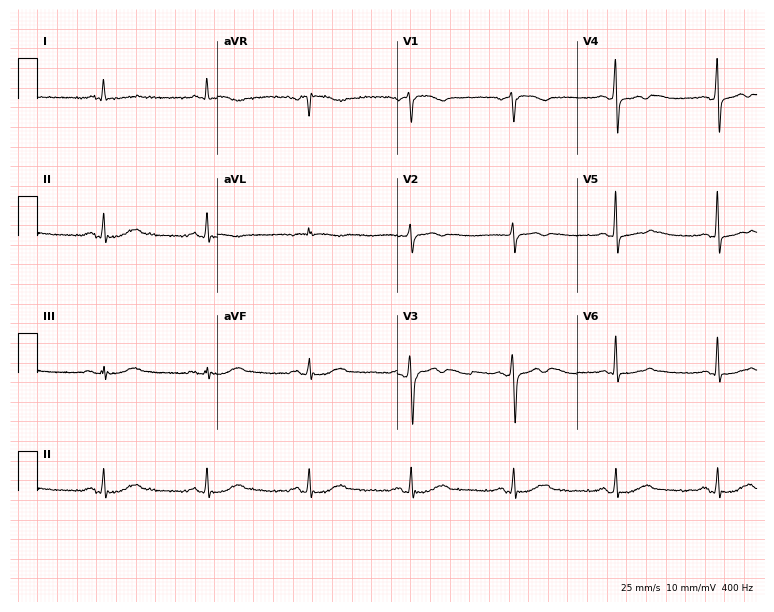
Resting 12-lead electrocardiogram (7.3-second recording at 400 Hz). Patient: a male, 75 years old. Read as a normal ECG.